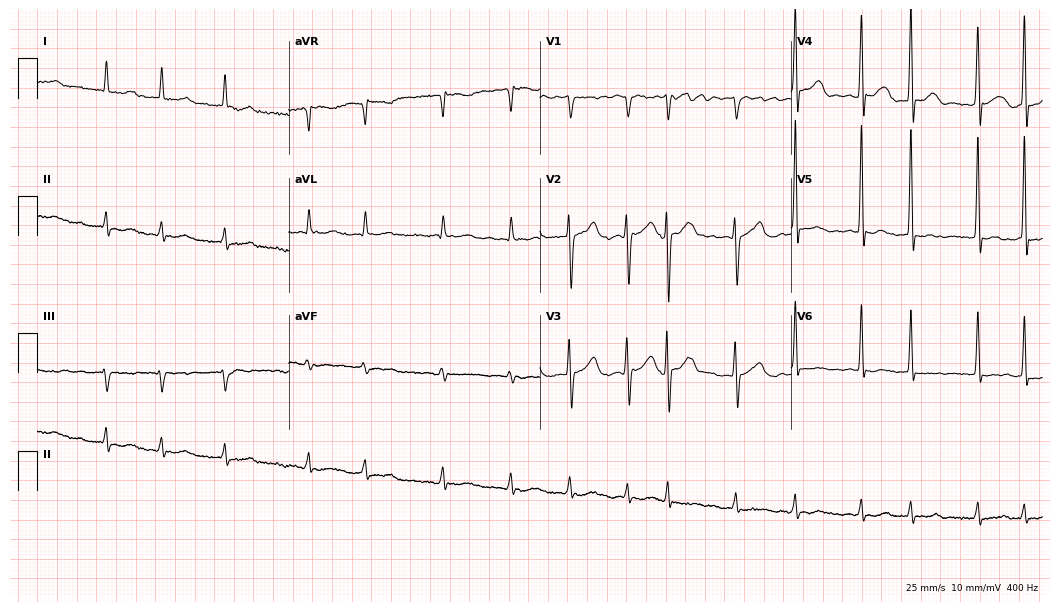
Electrocardiogram, a male, 76 years old. Interpretation includes atrial fibrillation.